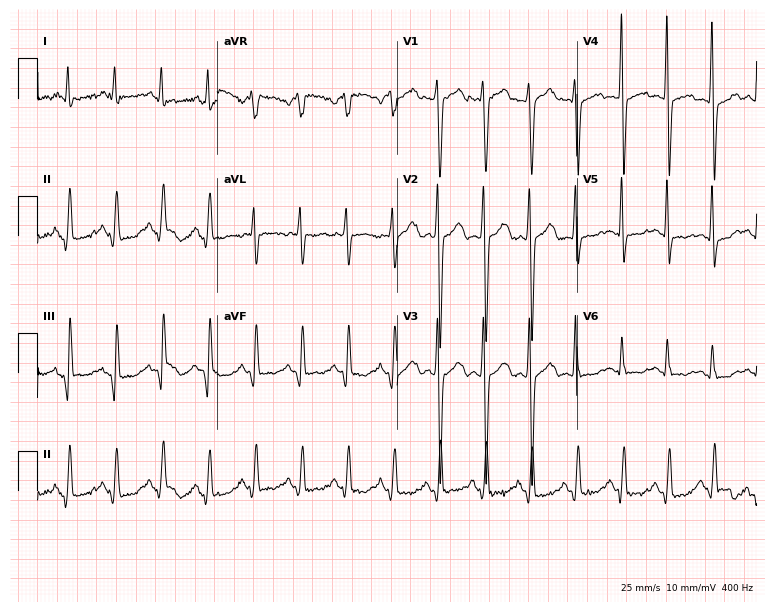
ECG (7.3-second recording at 400 Hz) — a woman, 52 years old. Findings include sinus tachycardia (a sinus rate of 100 beats per minute or more).